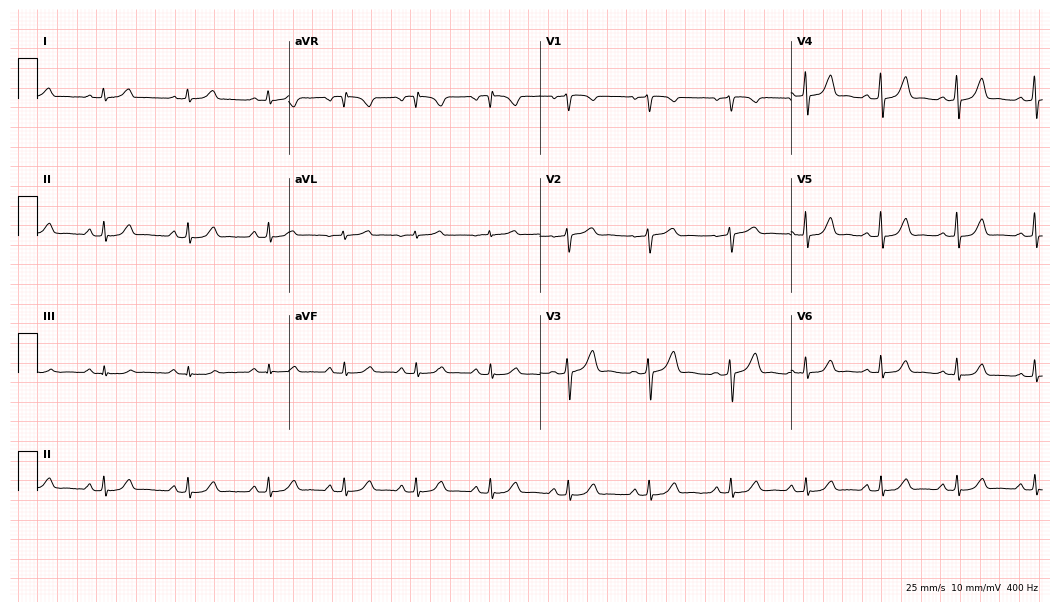
Resting 12-lead electrocardiogram. Patient: a woman, 50 years old. Read as a normal ECG.